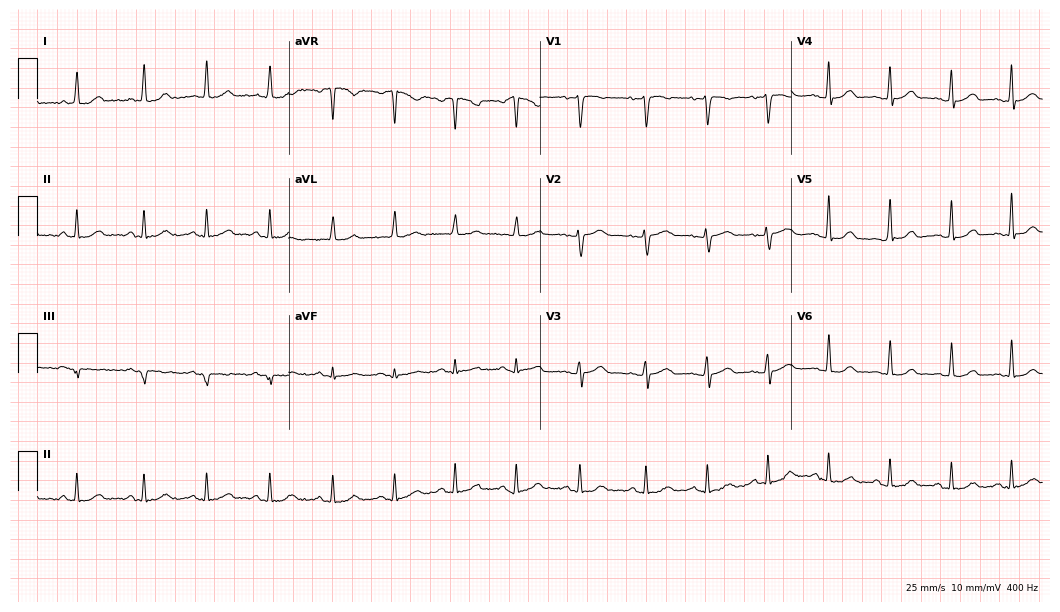
Standard 12-lead ECG recorded from a female patient, 43 years old. Read as a normal ECG.